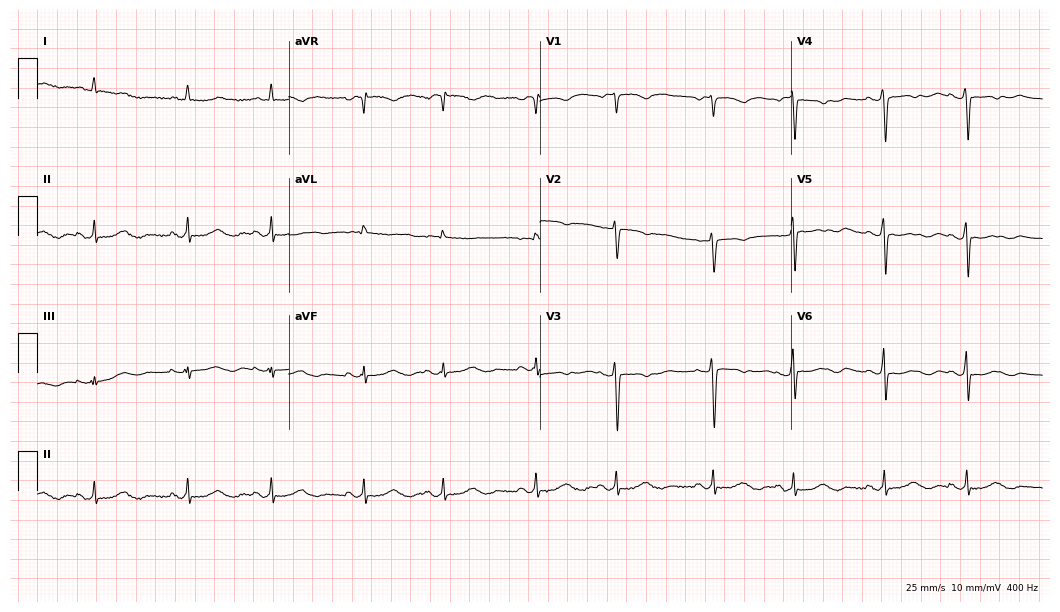
12-lead ECG from a 48-year-old male patient. No first-degree AV block, right bundle branch block, left bundle branch block, sinus bradycardia, atrial fibrillation or sinus tachycardia recorded for this tracing. Other findings, if any, are not listed.